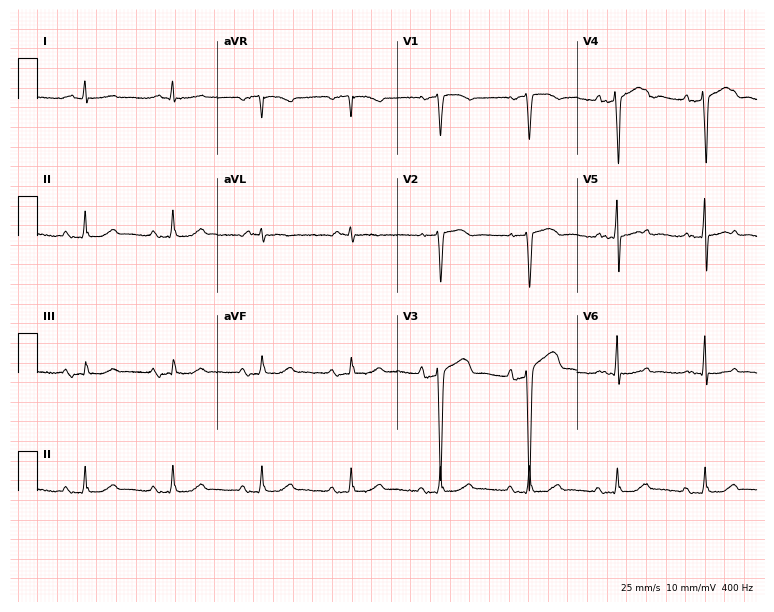
Resting 12-lead electrocardiogram. Patient: an 83-year-old male. None of these six findings is recorded: first-degree AV block, right bundle branch block, left bundle branch block, sinus bradycardia, atrial fibrillation, sinus tachycardia.